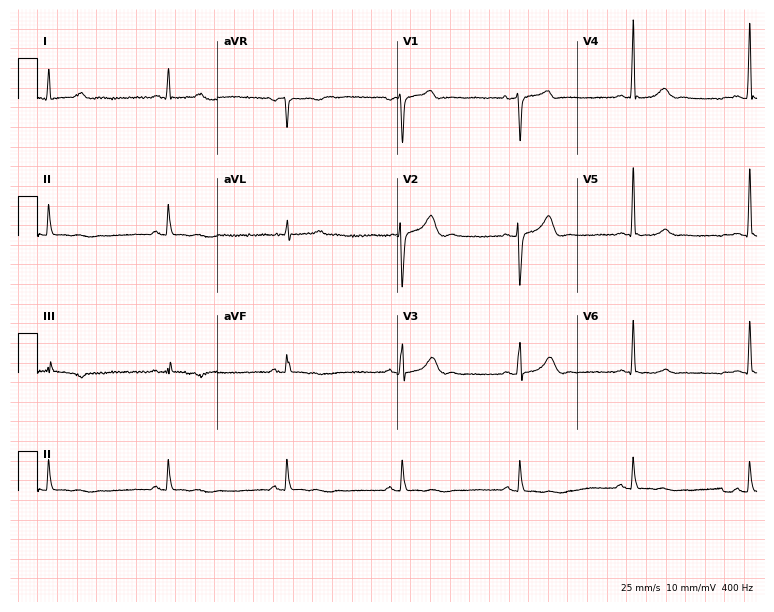
Electrocardiogram, a 52-year-old male patient. Of the six screened findings (first-degree AV block, right bundle branch block, left bundle branch block, sinus bradycardia, atrial fibrillation, sinus tachycardia), none is recorded.